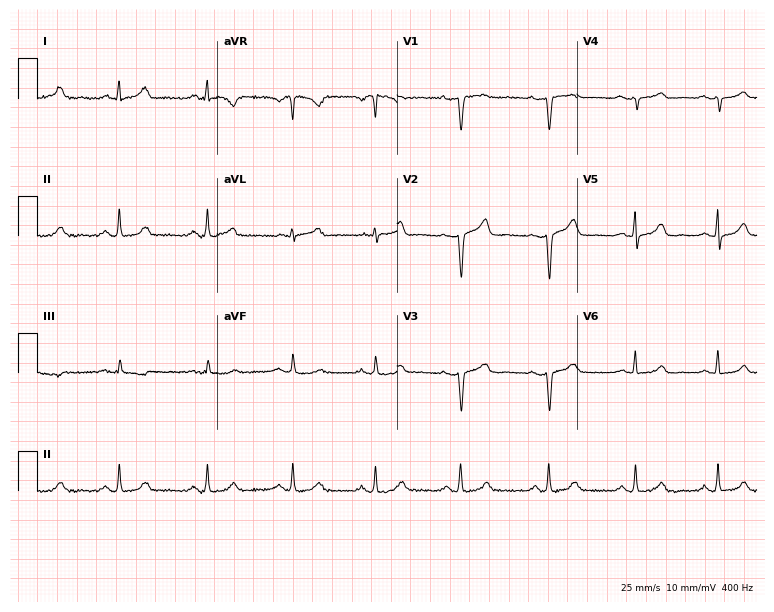
ECG — a 44-year-old female patient. Labelled as a normal ECG.